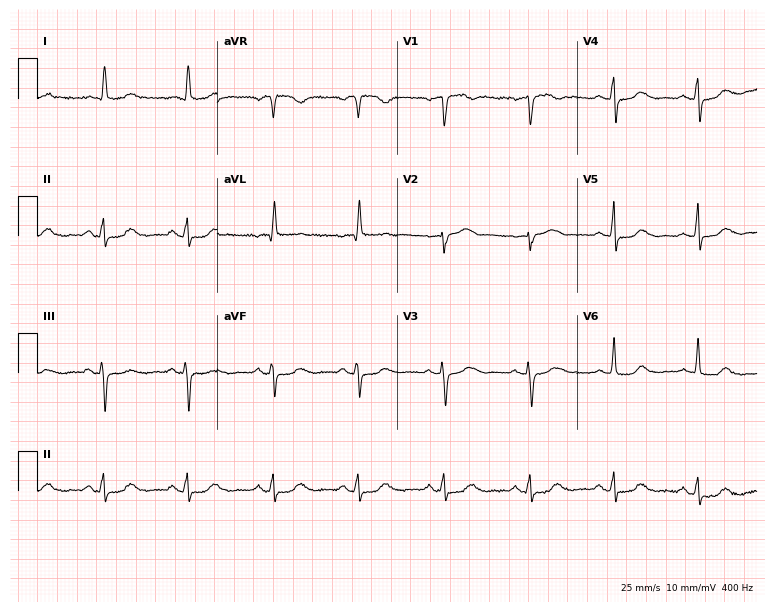
12-lead ECG (7.3-second recording at 400 Hz) from a female, 54 years old. Labelled as a normal ECG.